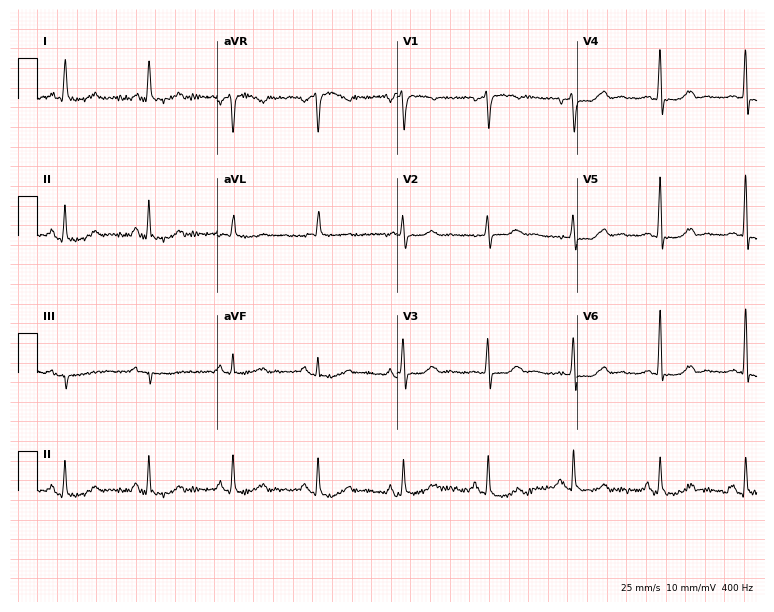
Electrocardiogram, a woman, 73 years old. Overall reading on record: normal ECG.